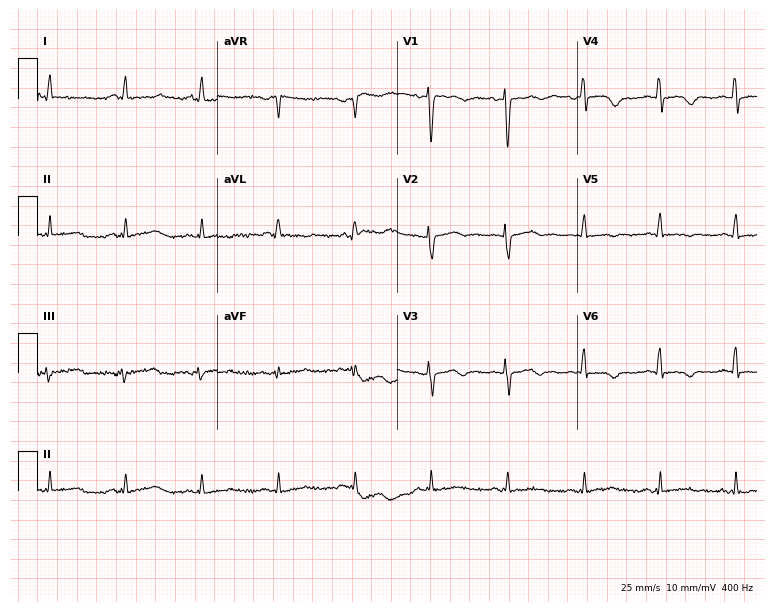
12-lead ECG from a 54-year-old female. No first-degree AV block, right bundle branch block, left bundle branch block, sinus bradycardia, atrial fibrillation or sinus tachycardia recorded for this tracing. Other findings, if any, are not listed.